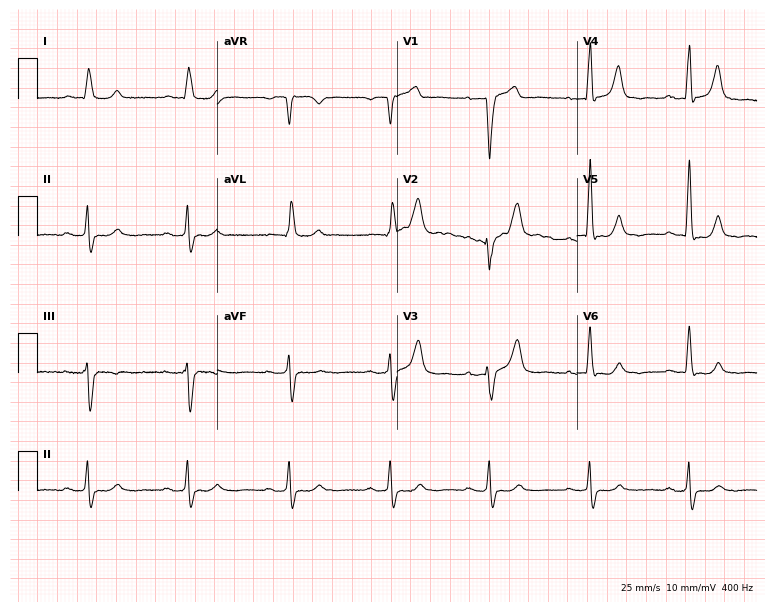
ECG (7.3-second recording at 400 Hz) — a male patient, 84 years old. Findings include left bundle branch block (LBBB).